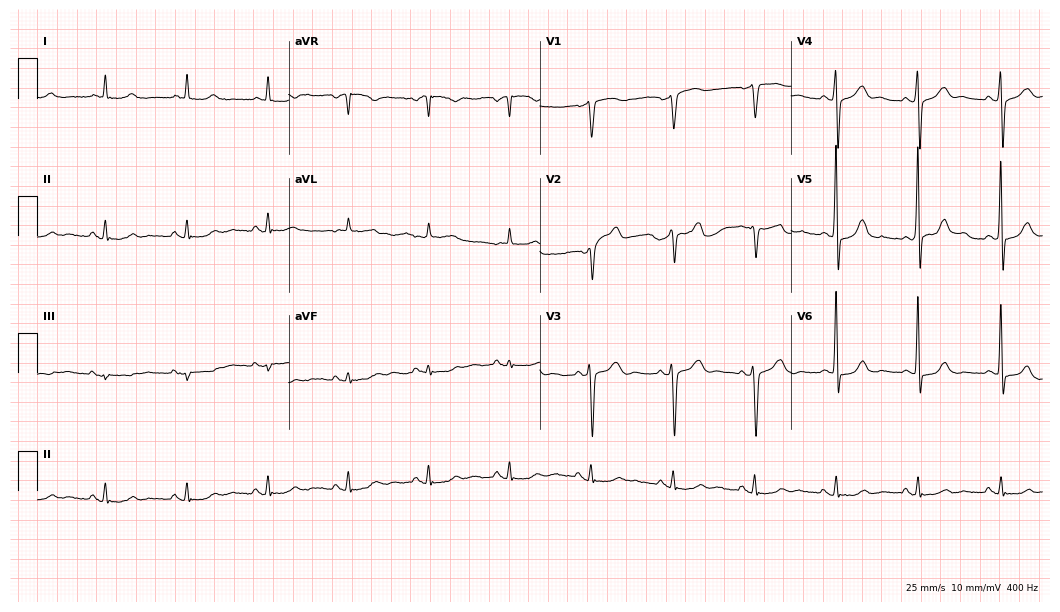
12-lead ECG (10.2-second recording at 400 Hz) from a 76-year-old female patient. Labelled as a normal ECG.